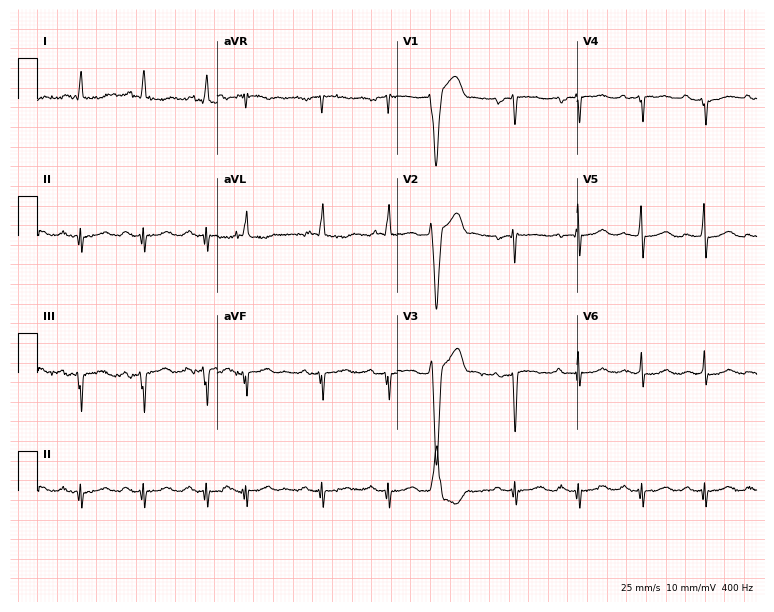
12-lead ECG from an 84-year-old female. Screened for six findings — first-degree AV block, right bundle branch block, left bundle branch block, sinus bradycardia, atrial fibrillation, sinus tachycardia — none is recorded.